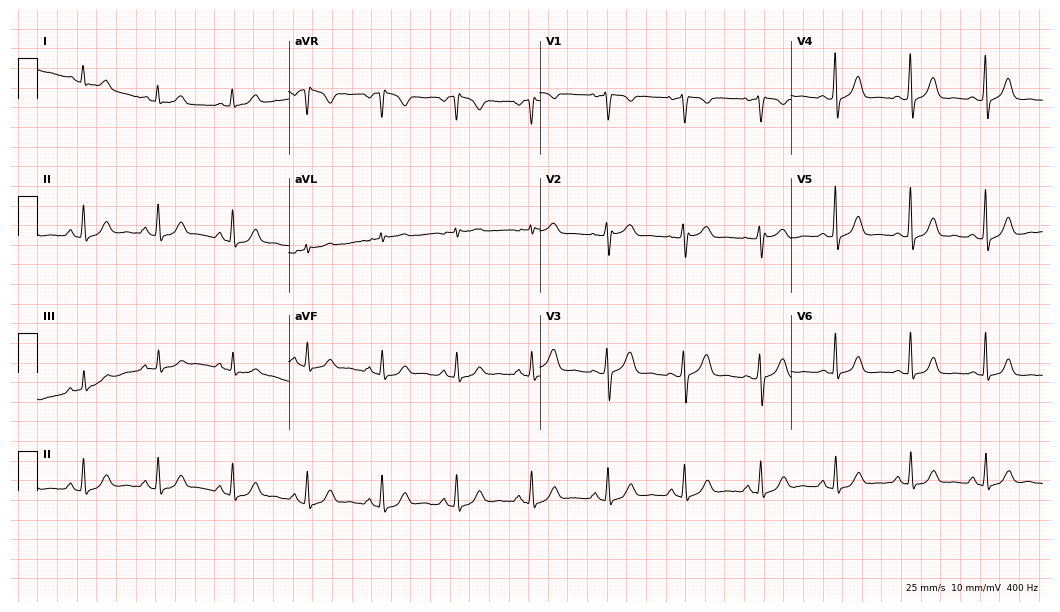
ECG — a female patient, 28 years old. Labelled as a normal ECG.